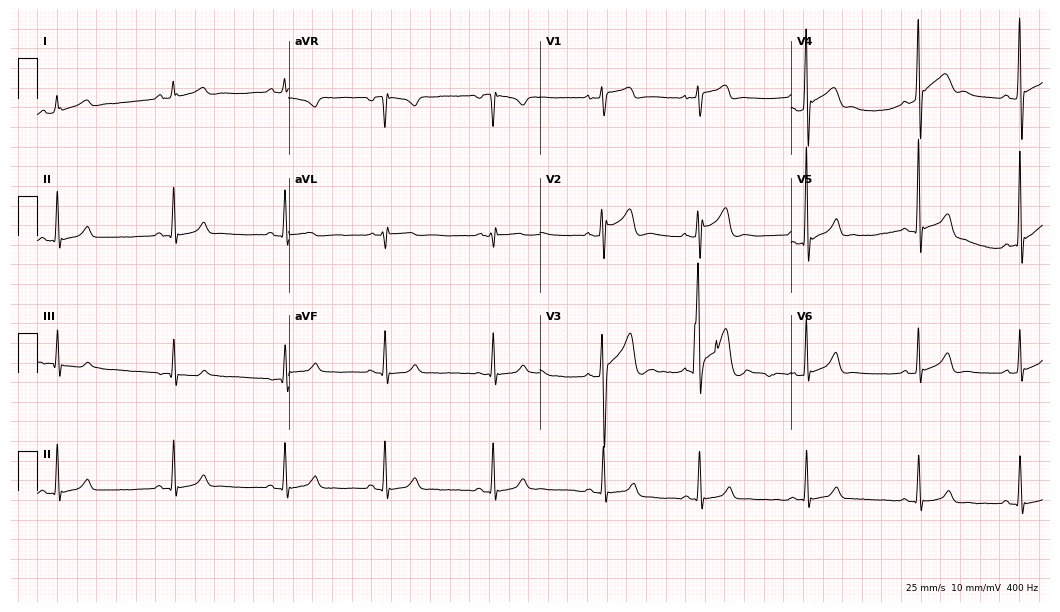
Electrocardiogram, an 18-year-old male. Overall reading on record: normal ECG.